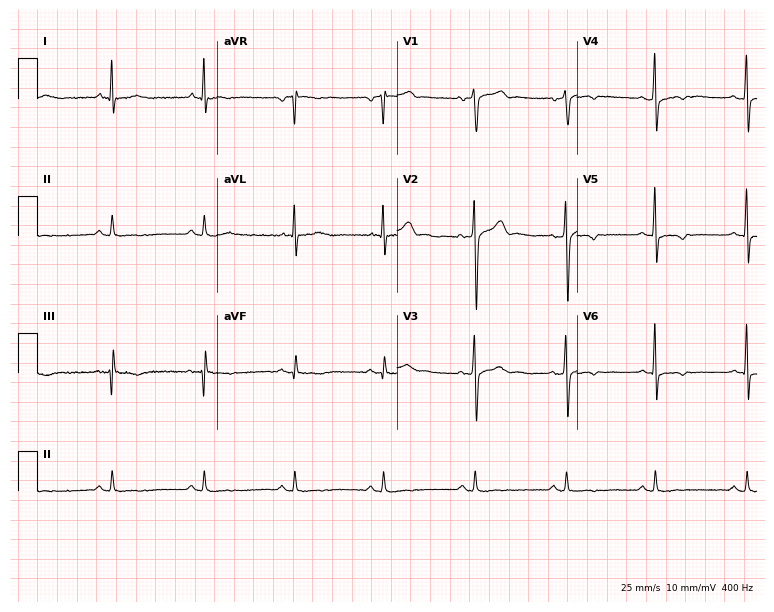
12-lead ECG (7.3-second recording at 400 Hz) from a 40-year-old male. Screened for six findings — first-degree AV block, right bundle branch block, left bundle branch block, sinus bradycardia, atrial fibrillation, sinus tachycardia — none is recorded. Only these six findings were labelled.